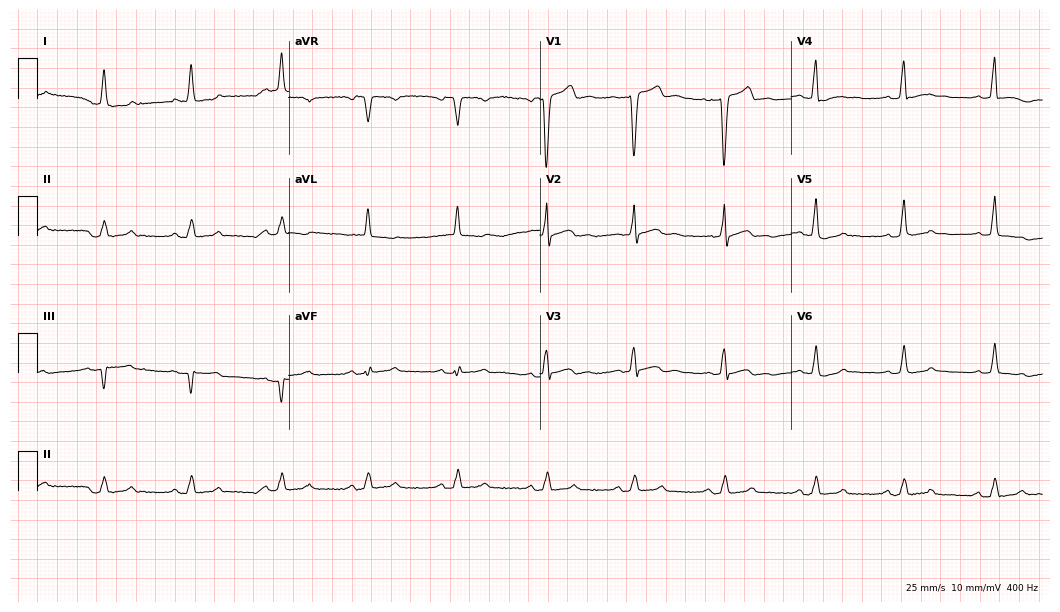
ECG — an 82-year-old female patient. Screened for six findings — first-degree AV block, right bundle branch block, left bundle branch block, sinus bradycardia, atrial fibrillation, sinus tachycardia — none is recorded. Other findings, if any, are not listed.